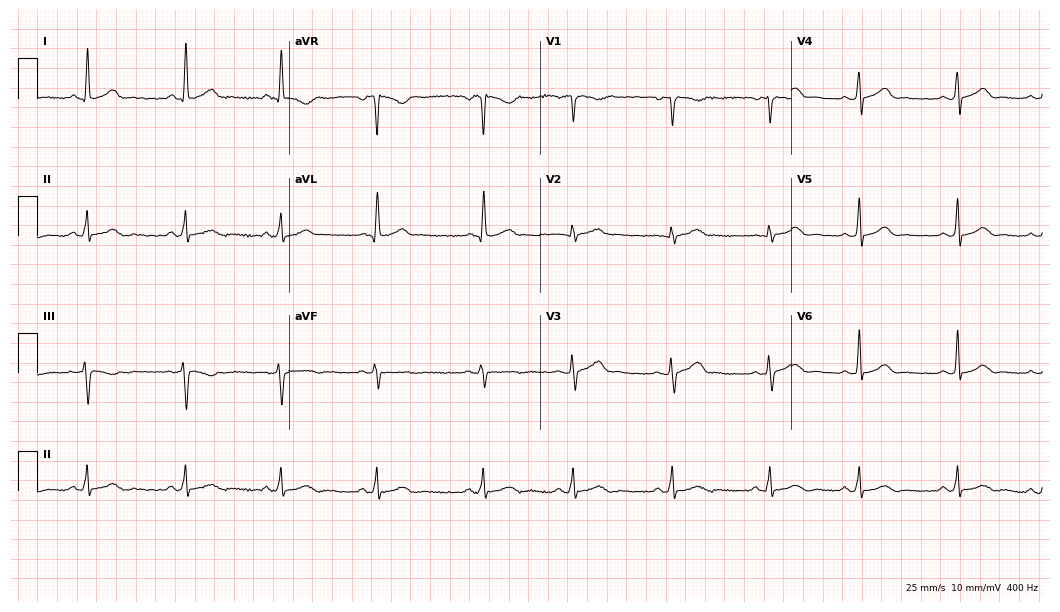
ECG — a woman, 35 years old. Labelled as a normal ECG.